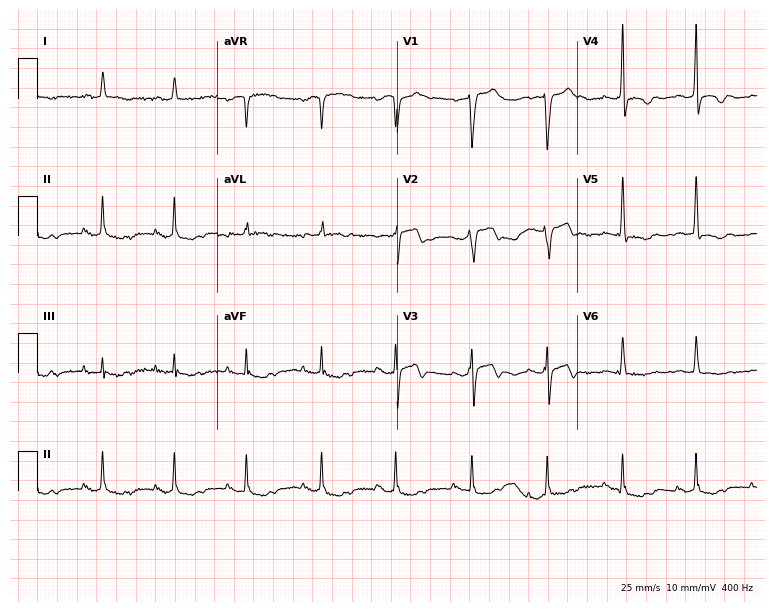
Electrocardiogram (7.3-second recording at 400 Hz), a man, 80 years old. Of the six screened findings (first-degree AV block, right bundle branch block (RBBB), left bundle branch block (LBBB), sinus bradycardia, atrial fibrillation (AF), sinus tachycardia), none is recorded.